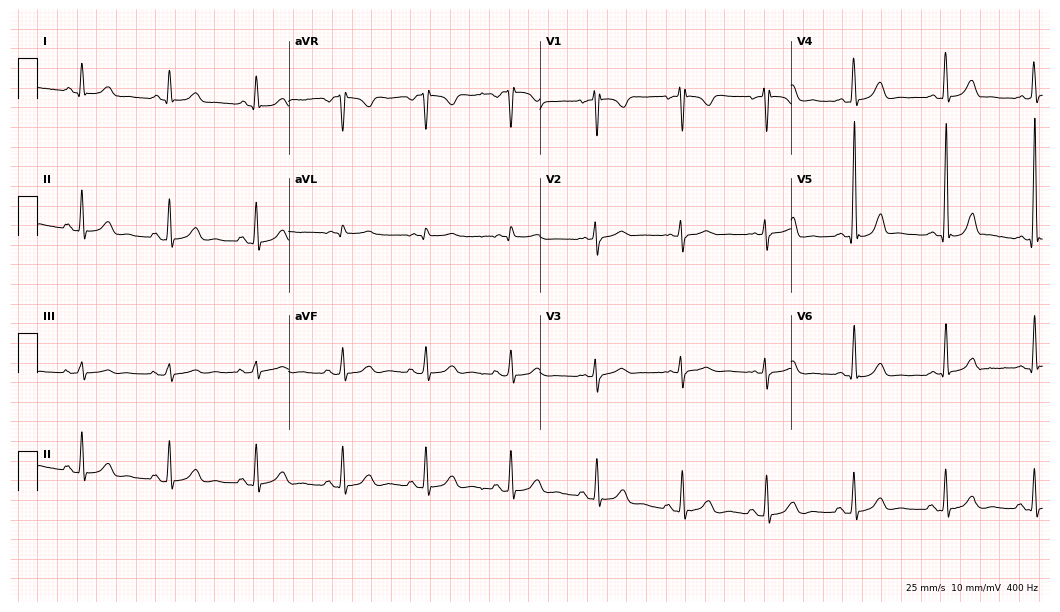
12-lead ECG (10.2-second recording at 400 Hz) from a 32-year-old female patient. Labelled as a normal ECG.